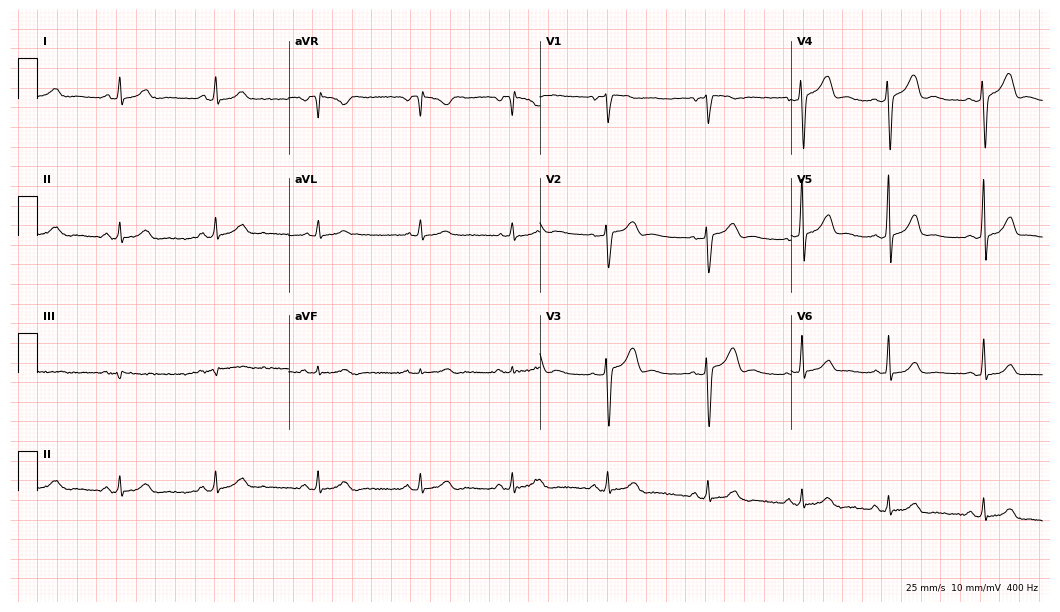
Resting 12-lead electrocardiogram. Patient: a woman, 33 years old. Read as a normal ECG.